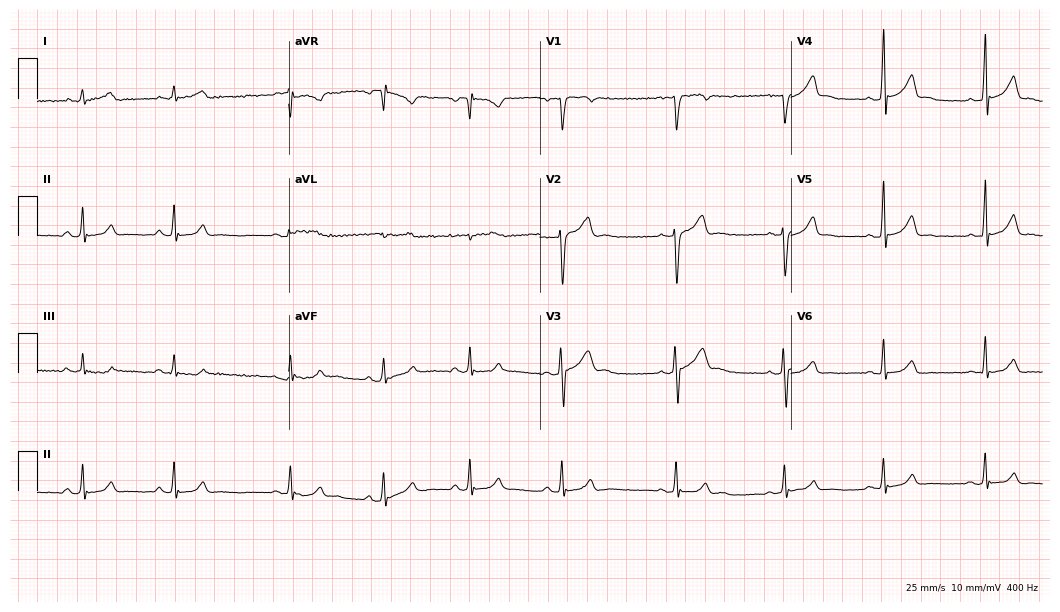
Resting 12-lead electrocardiogram. Patient: a man, 18 years old. None of these six findings is recorded: first-degree AV block, right bundle branch block, left bundle branch block, sinus bradycardia, atrial fibrillation, sinus tachycardia. Only these six findings were labelled.